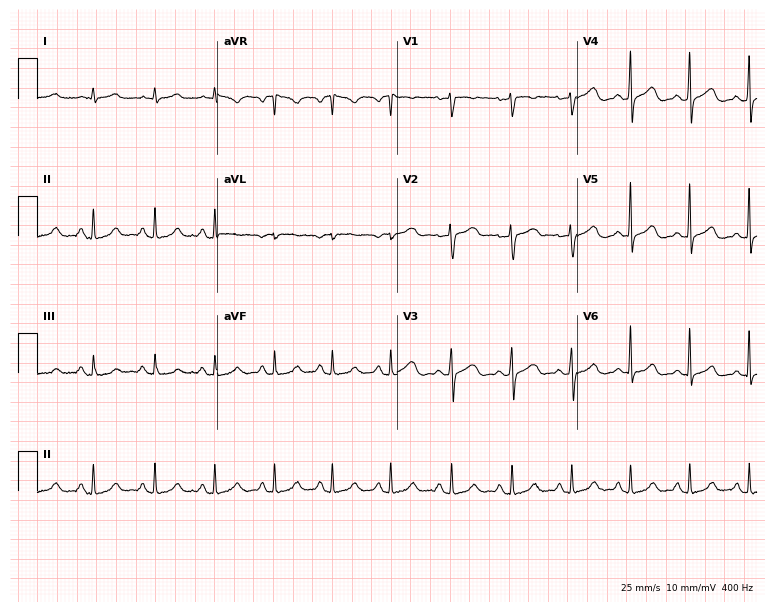
Resting 12-lead electrocardiogram (7.3-second recording at 400 Hz). Patient: a woman, 26 years old. None of these six findings is recorded: first-degree AV block, right bundle branch block, left bundle branch block, sinus bradycardia, atrial fibrillation, sinus tachycardia. Only these six findings were labelled.